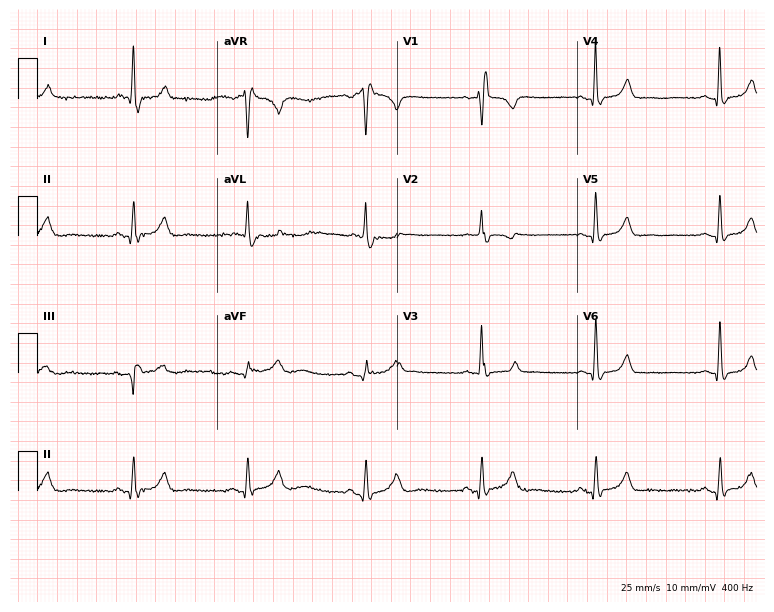
Standard 12-lead ECG recorded from a female patient, 76 years old (7.3-second recording at 400 Hz). The tracing shows right bundle branch block (RBBB).